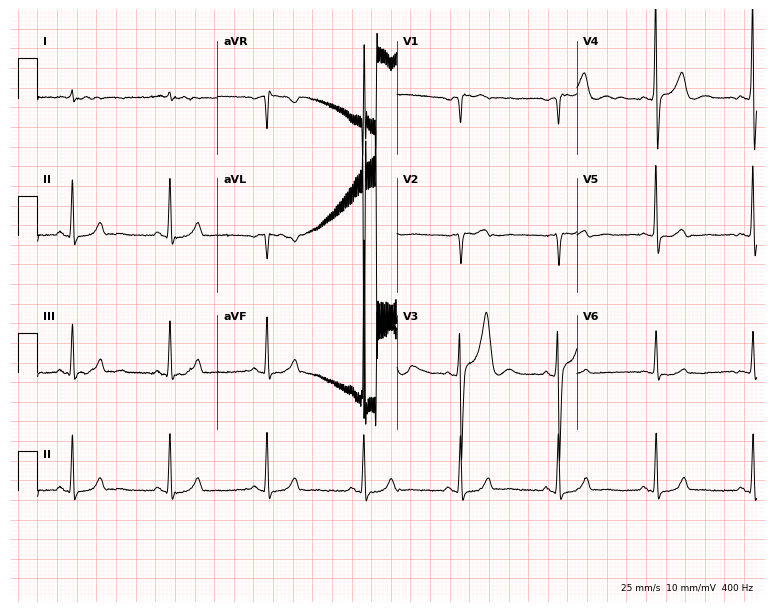
12-lead ECG from a man, 74 years old. Recorded interpretation: within normal limits.